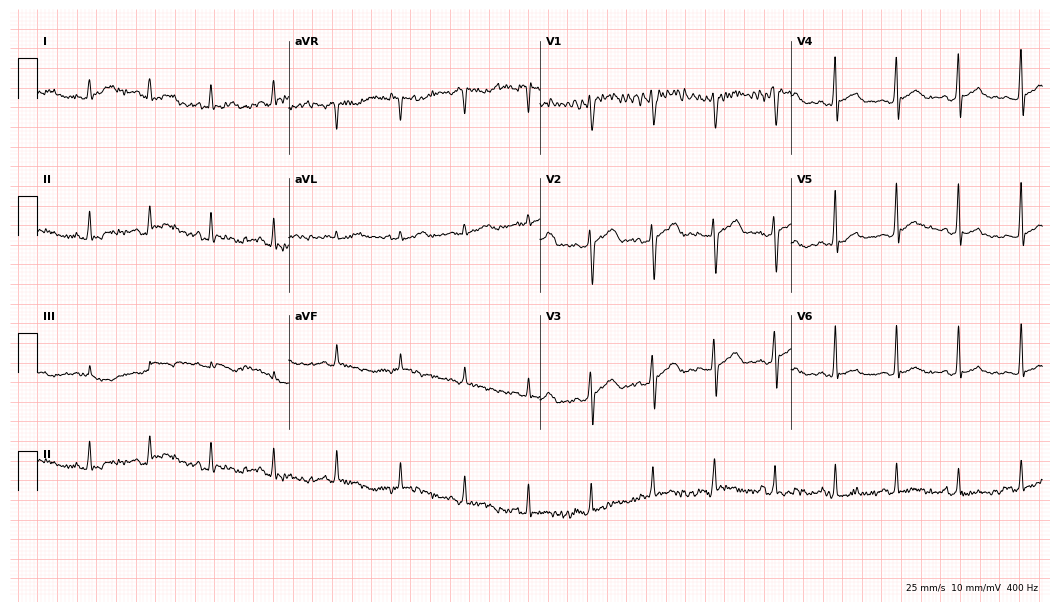
ECG — a male patient, 30 years old. Screened for six findings — first-degree AV block, right bundle branch block, left bundle branch block, sinus bradycardia, atrial fibrillation, sinus tachycardia — none is recorded.